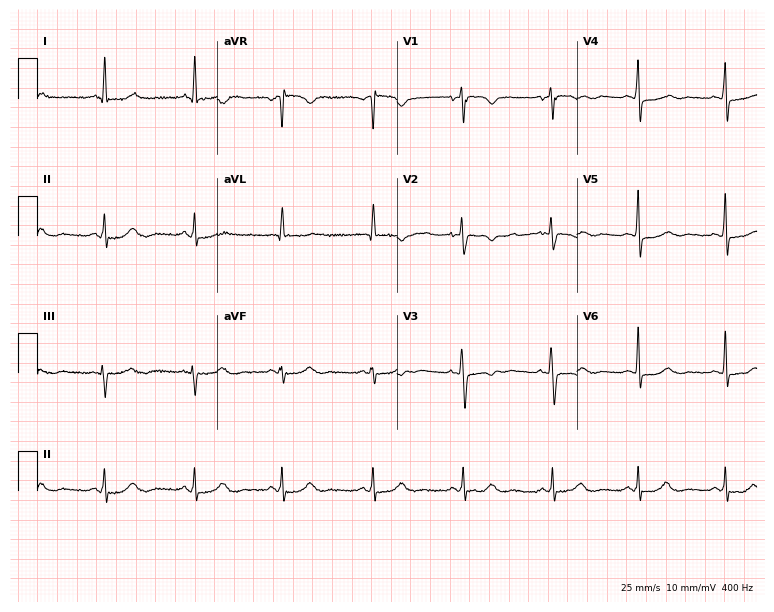
12-lead ECG from a woman, 53 years old. Screened for six findings — first-degree AV block, right bundle branch block (RBBB), left bundle branch block (LBBB), sinus bradycardia, atrial fibrillation (AF), sinus tachycardia — none is recorded.